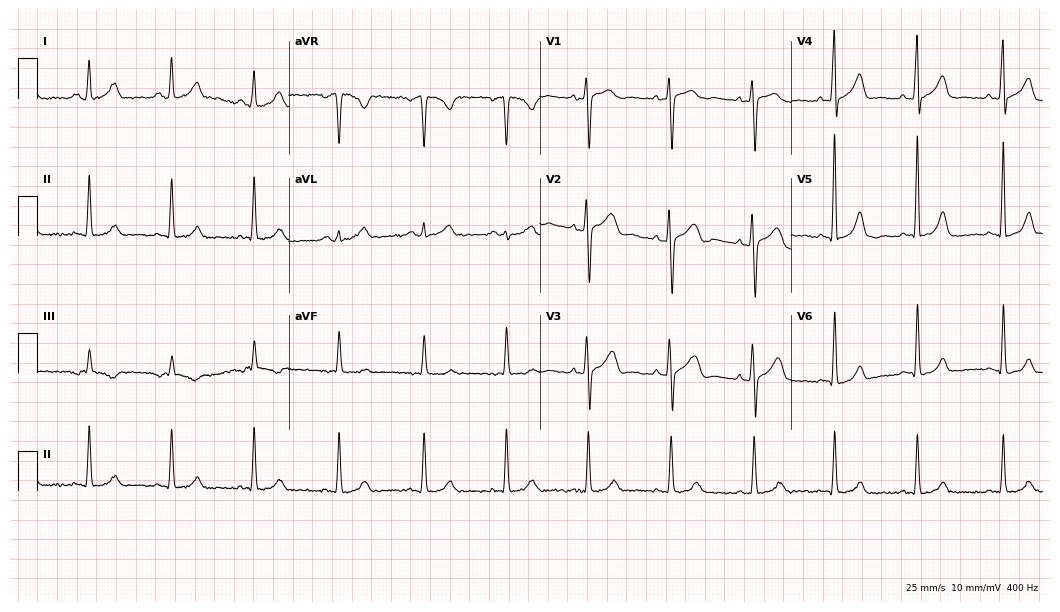
ECG (10.2-second recording at 400 Hz) — a female, 53 years old. Labelled as a normal ECG.